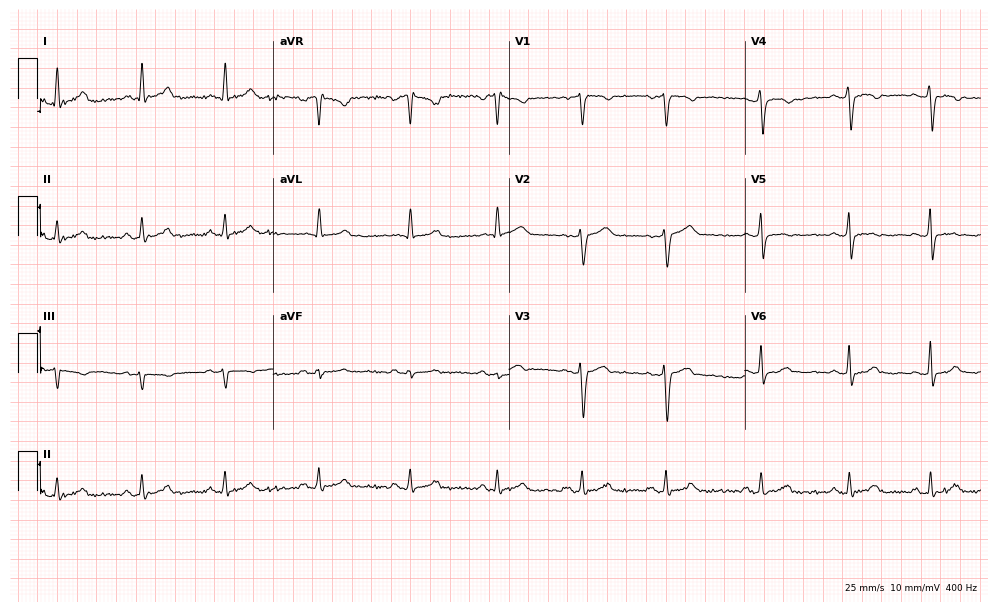
Standard 12-lead ECG recorded from a 51-year-old female patient. Read as a normal ECG.